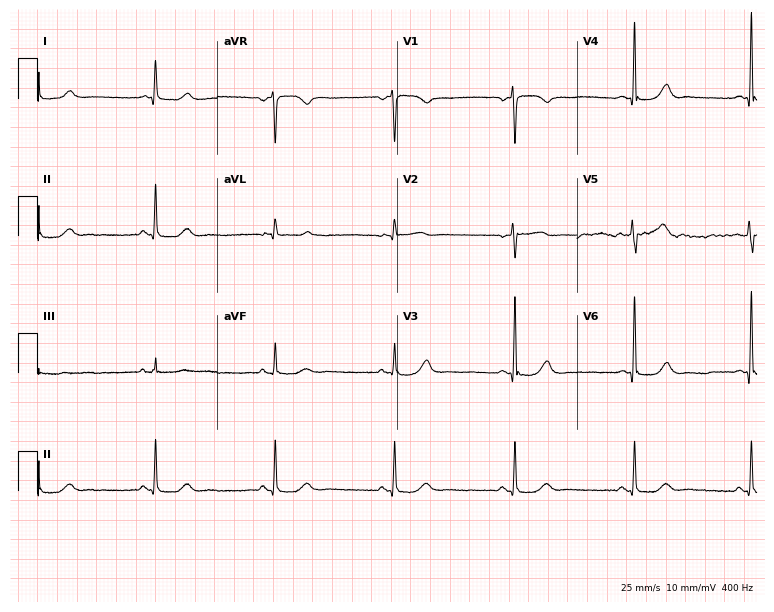
Standard 12-lead ECG recorded from a female patient, 46 years old (7.3-second recording at 400 Hz). The tracing shows sinus bradycardia (a sinus rate of 50 beats per minute or less).